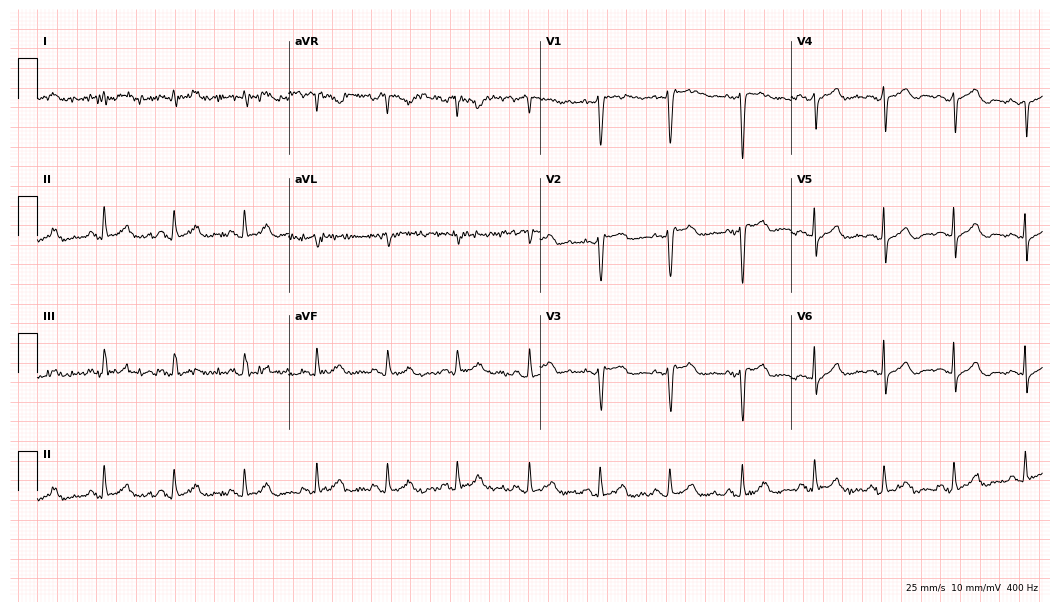
Electrocardiogram (10.2-second recording at 400 Hz), a 57-year-old male. Of the six screened findings (first-degree AV block, right bundle branch block, left bundle branch block, sinus bradycardia, atrial fibrillation, sinus tachycardia), none is recorded. Other findings, if any, are not listed.